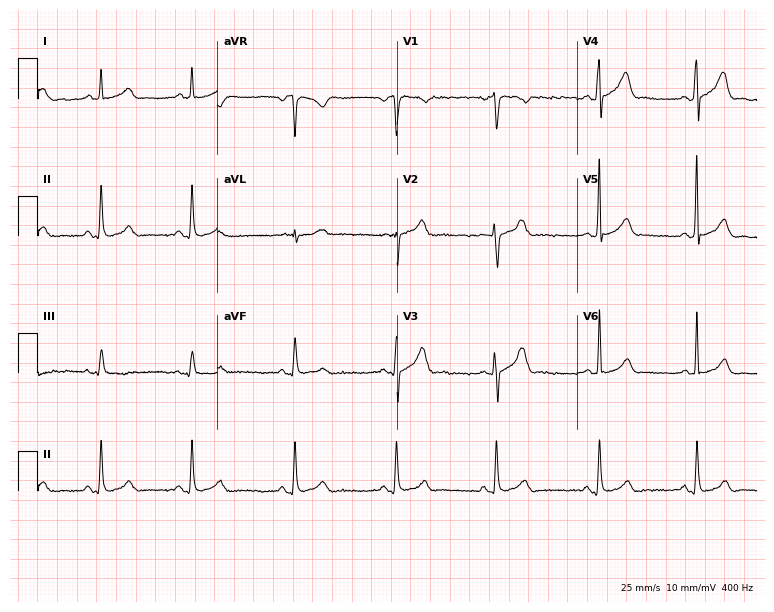
ECG (7.3-second recording at 400 Hz) — a man, 30 years old. Labelled as a normal ECG.